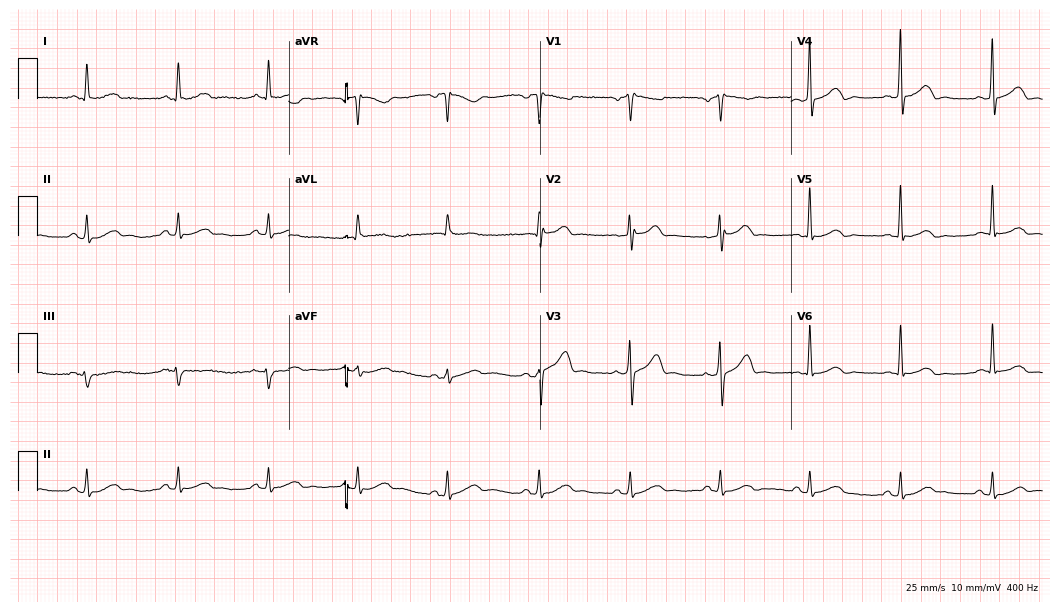
Standard 12-lead ECG recorded from a 56-year-old male patient (10.2-second recording at 400 Hz). Read as a normal ECG.